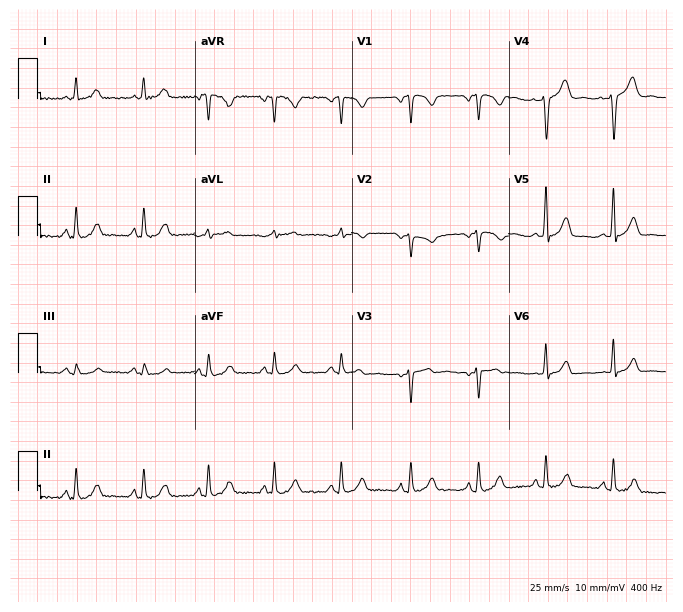
Resting 12-lead electrocardiogram (6.4-second recording at 400 Hz). Patient: a 28-year-old woman. Read as a normal ECG.